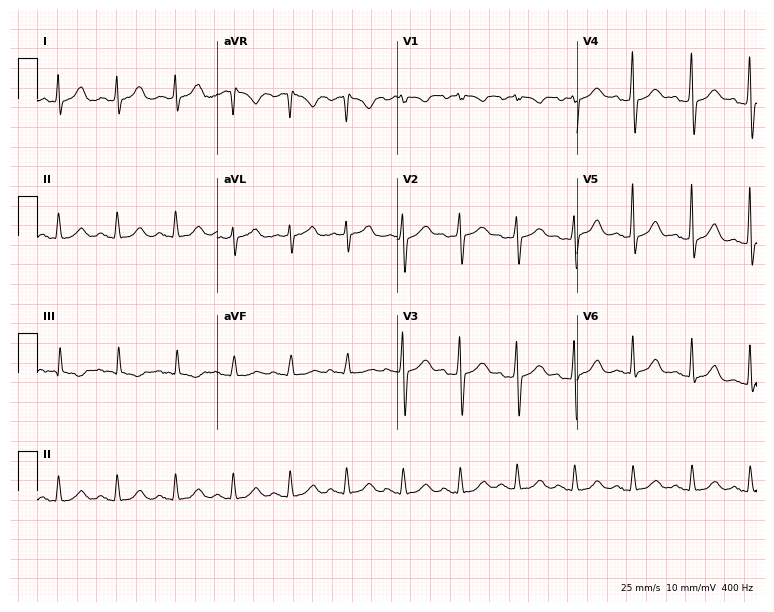
12-lead ECG (7.3-second recording at 400 Hz) from a 60-year-old male. Screened for six findings — first-degree AV block, right bundle branch block, left bundle branch block, sinus bradycardia, atrial fibrillation, sinus tachycardia — none is recorded. Only these six findings were labelled.